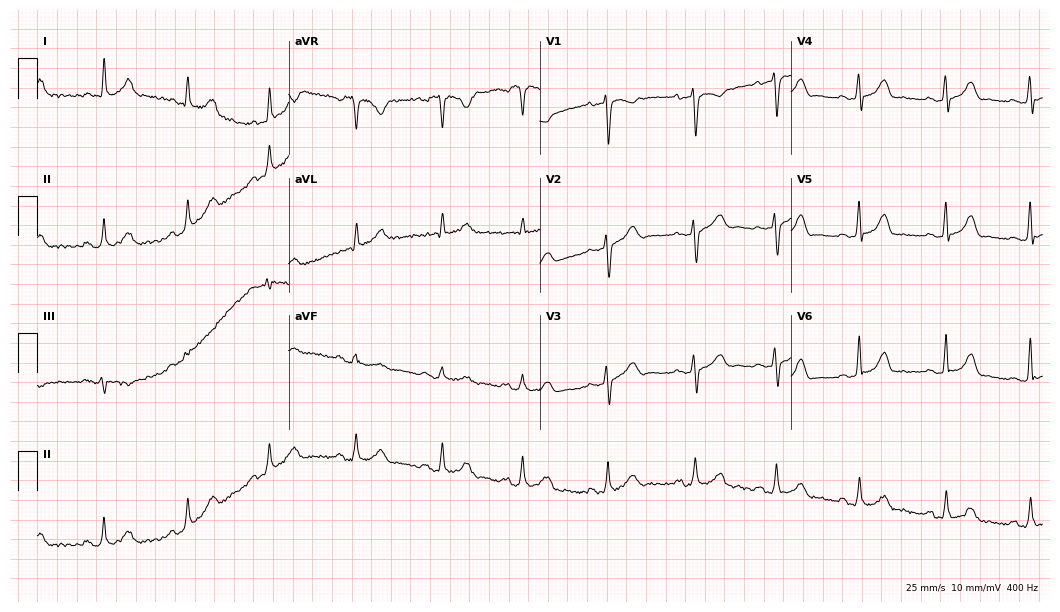
Standard 12-lead ECG recorded from a female patient, 41 years old (10.2-second recording at 400 Hz). Read as a normal ECG.